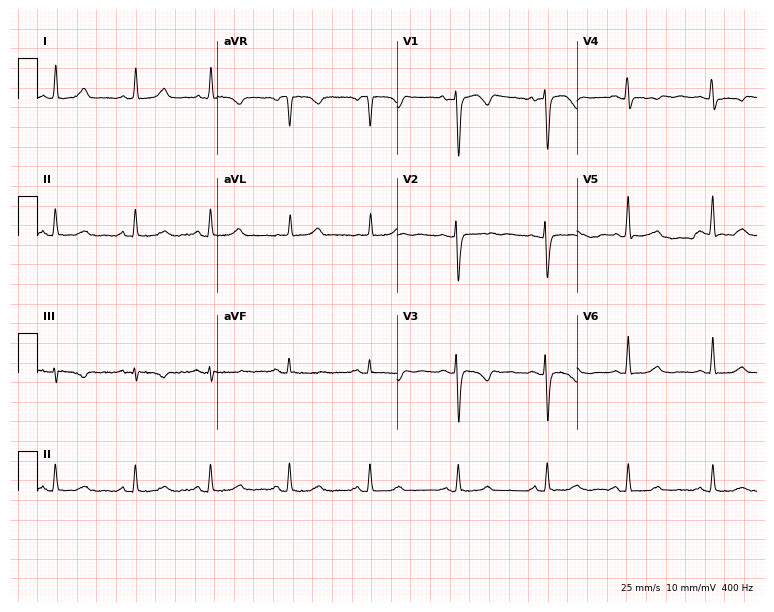
ECG (7.3-second recording at 400 Hz) — a female, 54 years old. Screened for six findings — first-degree AV block, right bundle branch block, left bundle branch block, sinus bradycardia, atrial fibrillation, sinus tachycardia — none is recorded.